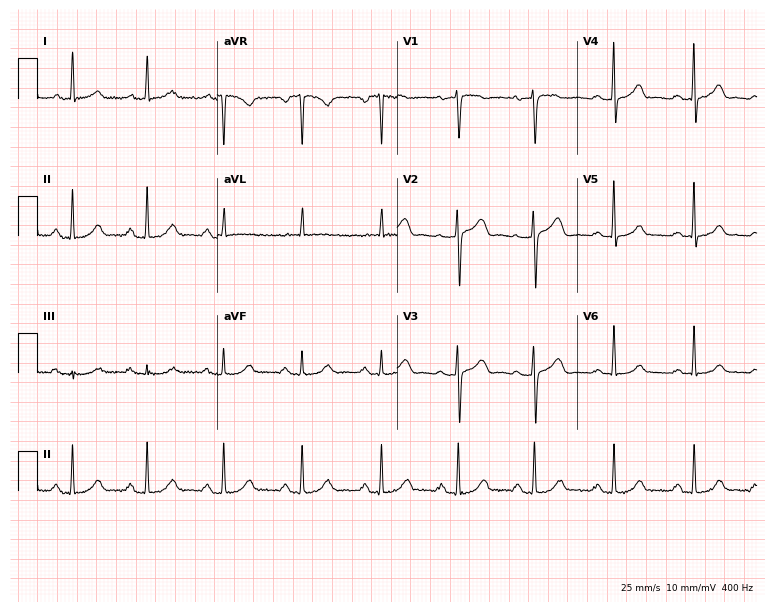
12-lead ECG from a 47-year-old female (7.3-second recording at 400 Hz). Recorded interpretation: within normal limits.